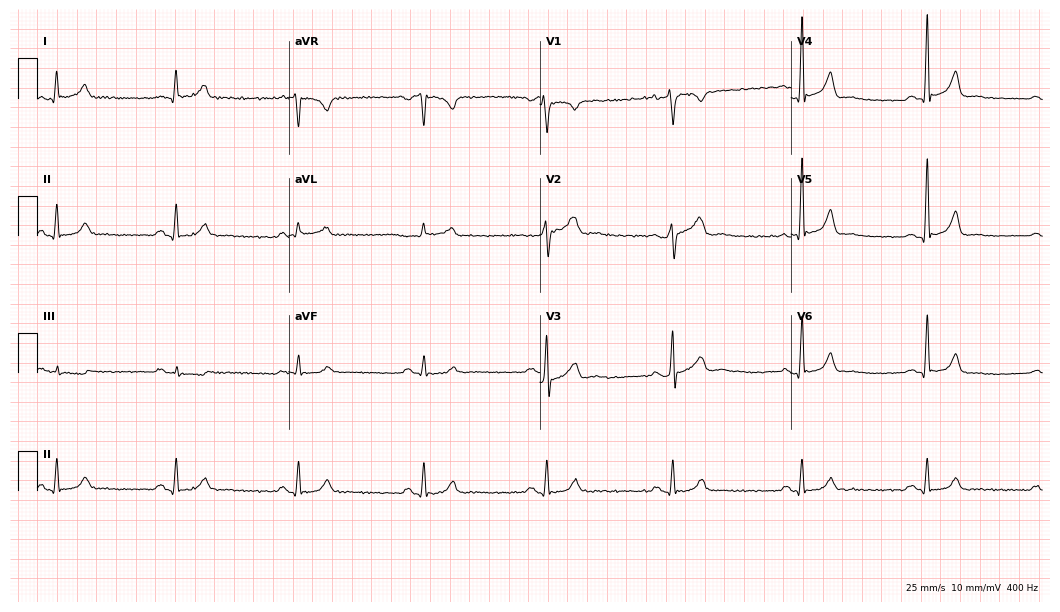
12-lead ECG (10.2-second recording at 400 Hz) from a 52-year-old male. Findings include sinus bradycardia (a sinus rate of 50 beats per minute or less).